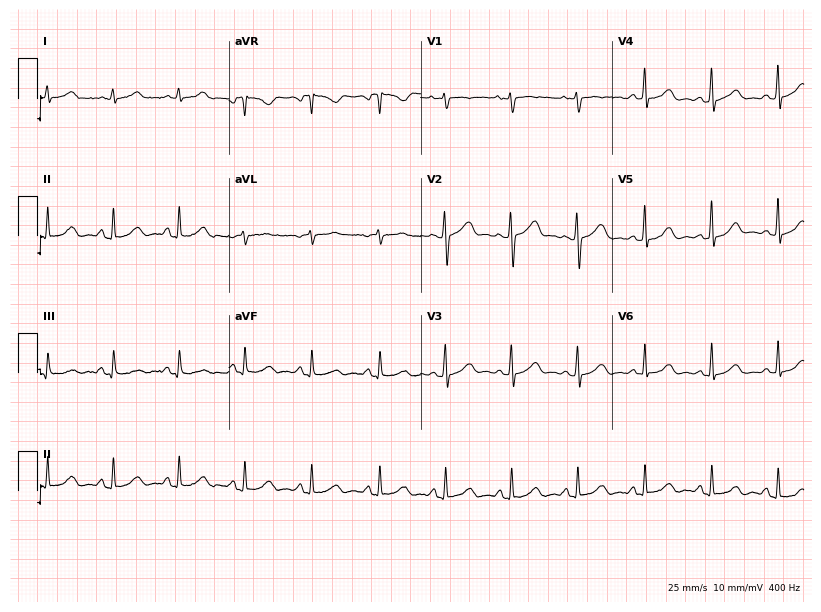
Standard 12-lead ECG recorded from a 42-year-old woman (7.8-second recording at 400 Hz). Read as a normal ECG.